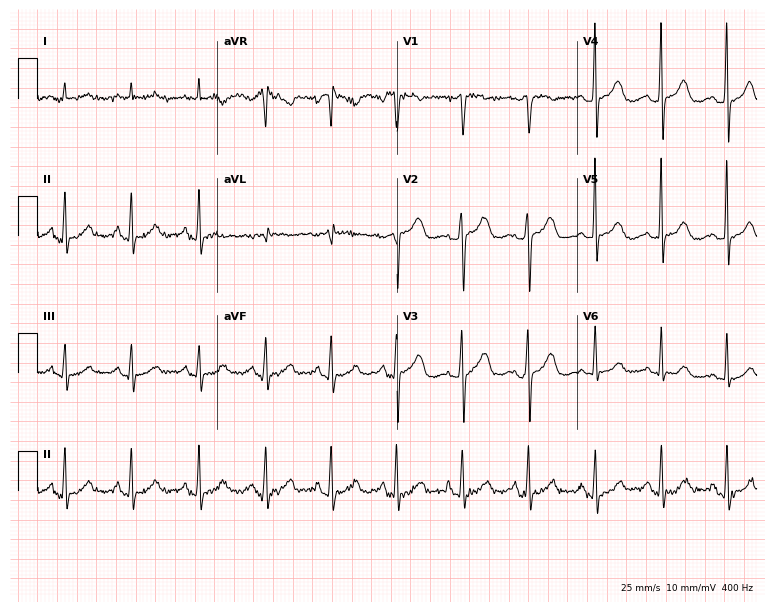
Electrocardiogram (7.3-second recording at 400 Hz), a female, 78 years old. Of the six screened findings (first-degree AV block, right bundle branch block, left bundle branch block, sinus bradycardia, atrial fibrillation, sinus tachycardia), none is recorded.